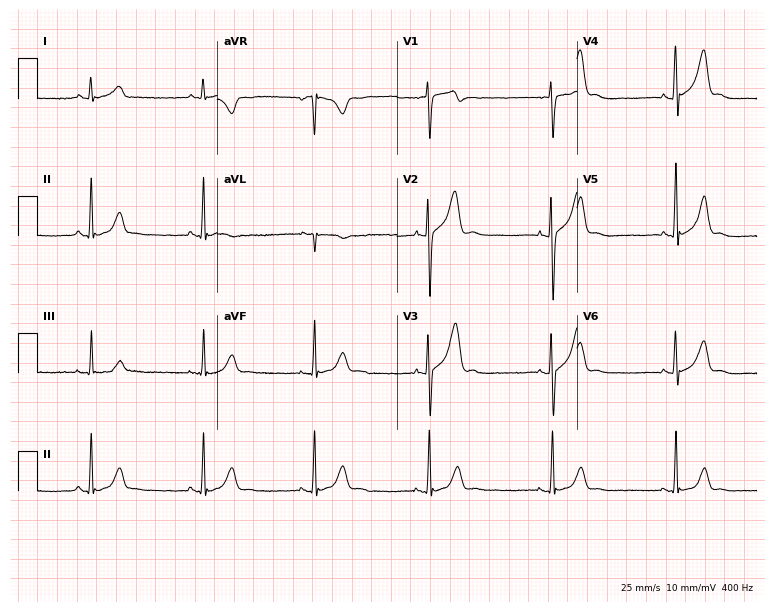
Resting 12-lead electrocardiogram. Patient: a 26-year-old male. Read as a normal ECG.